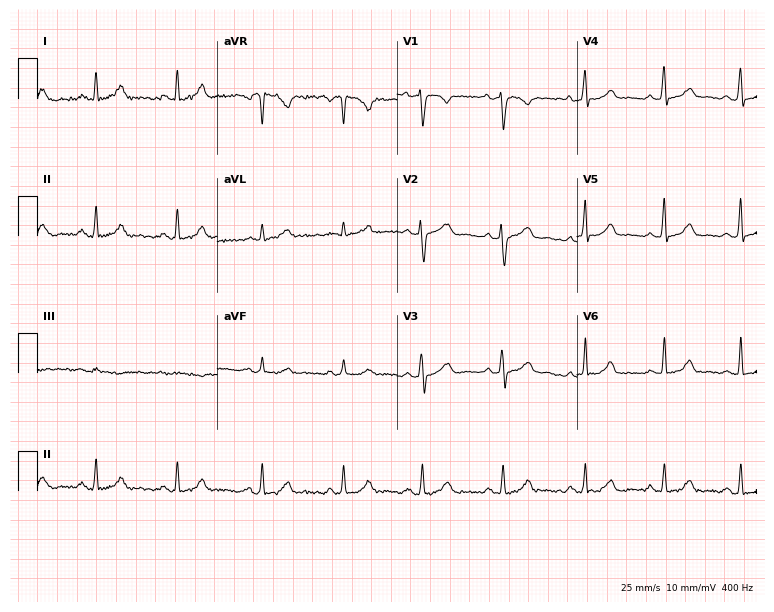
Resting 12-lead electrocardiogram. Patient: a female, 25 years old. None of these six findings is recorded: first-degree AV block, right bundle branch block, left bundle branch block, sinus bradycardia, atrial fibrillation, sinus tachycardia.